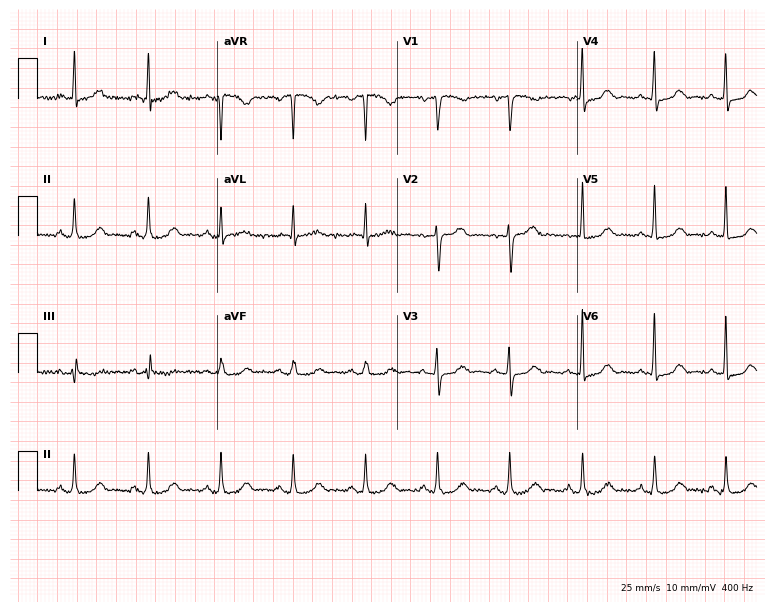
Standard 12-lead ECG recorded from a woman, 61 years old. None of these six findings is recorded: first-degree AV block, right bundle branch block, left bundle branch block, sinus bradycardia, atrial fibrillation, sinus tachycardia.